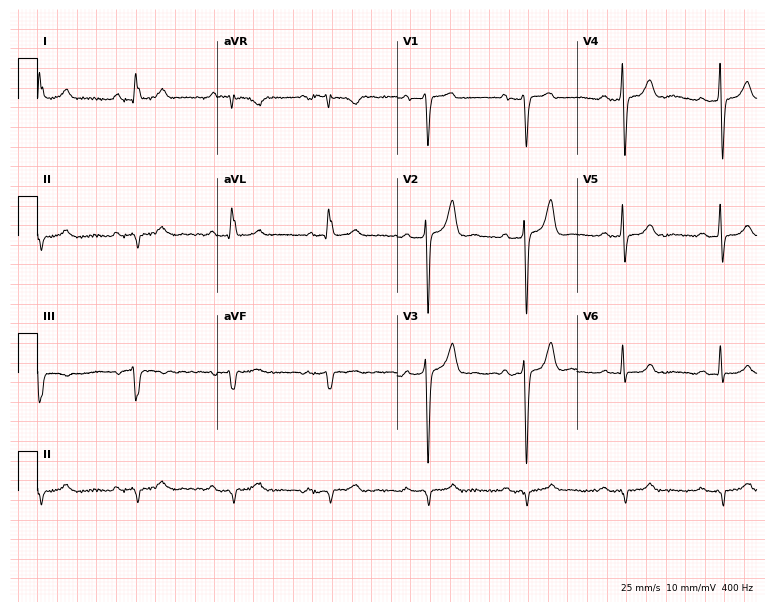
Resting 12-lead electrocardiogram. Patient: an 81-year-old male. Read as a normal ECG.